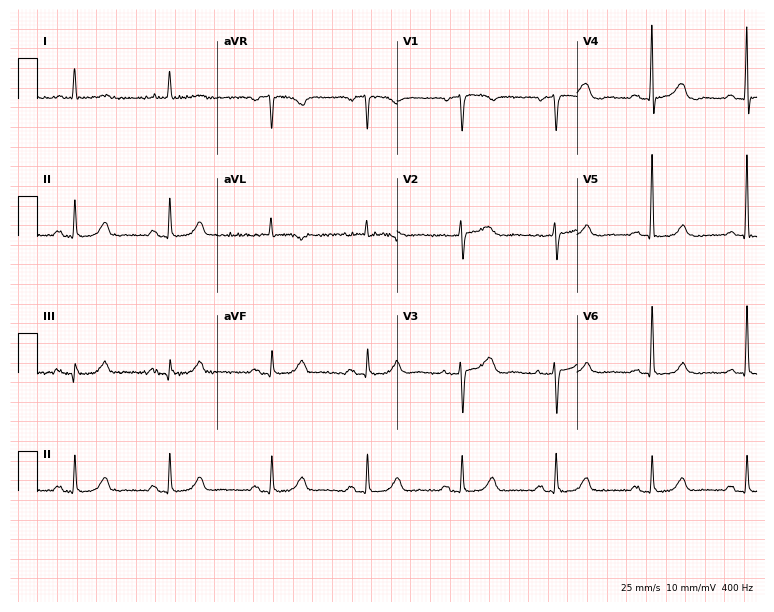
12-lead ECG from an 83-year-old female (7.3-second recording at 400 Hz). No first-degree AV block, right bundle branch block, left bundle branch block, sinus bradycardia, atrial fibrillation or sinus tachycardia recorded for this tracing. Findings outside these six are not listed.